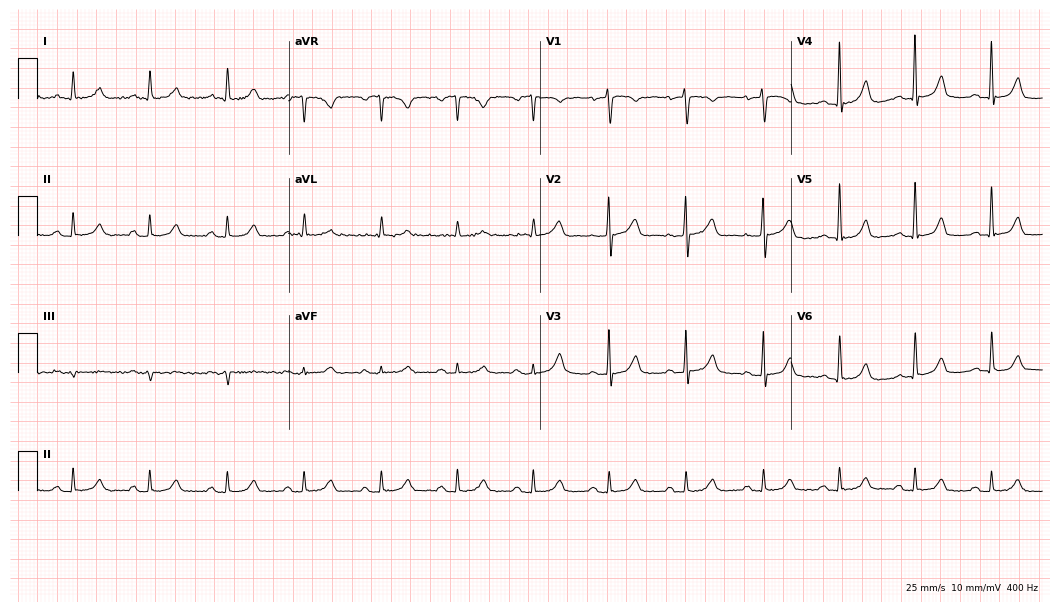
ECG (10.2-second recording at 400 Hz) — a male patient, 75 years old. Labelled as a normal ECG.